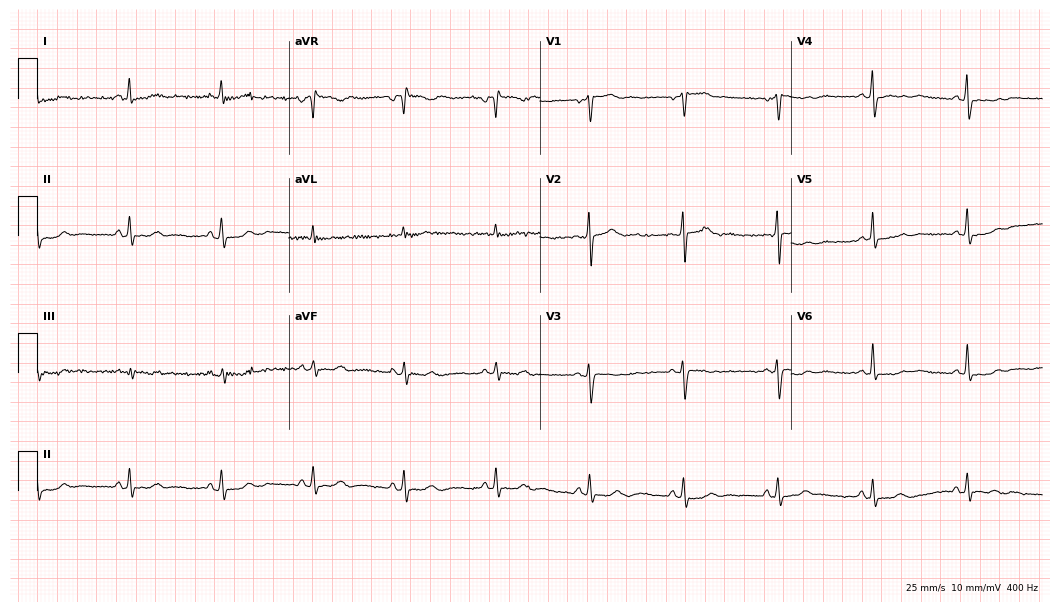
Resting 12-lead electrocardiogram (10.2-second recording at 400 Hz). Patient: a female, 49 years old. None of these six findings is recorded: first-degree AV block, right bundle branch block, left bundle branch block, sinus bradycardia, atrial fibrillation, sinus tachycardia. Only these six findings were labelled.